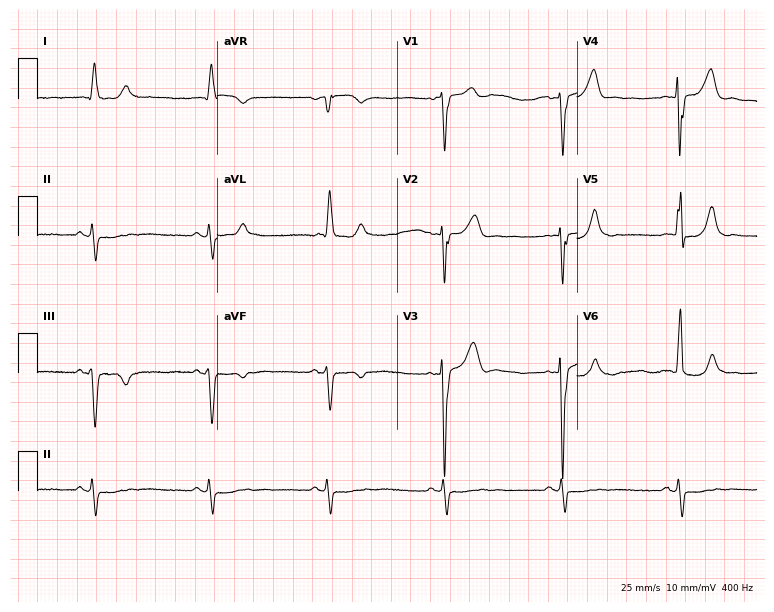
Resting 12-lead electrocardiogram (7.3-second recording at 400 Hz). Patient: a 78-year-old male. None of these six findings is recorded: first-degree AV block, right bundle branch block, left bundle branch block, sinus bradycardia, atrial fibrillation, sinus tachycardia. Only these six findings were labelled.